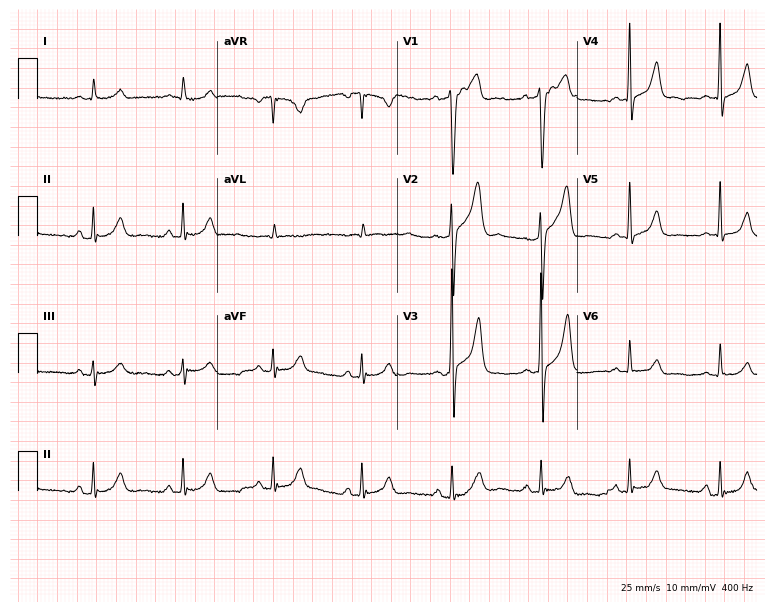
Electrocardiogram (7.3-second recording at 400 Hz), a man, 43 years old. Of the six screened findings (first-degree AV block, right bundle branch block (RBBB), left bundle branch block (LBBB), sinus bradycardia, atrial fibrillation (AF), sinus tachycardia), none is recorded. Only these six findings were labelled.